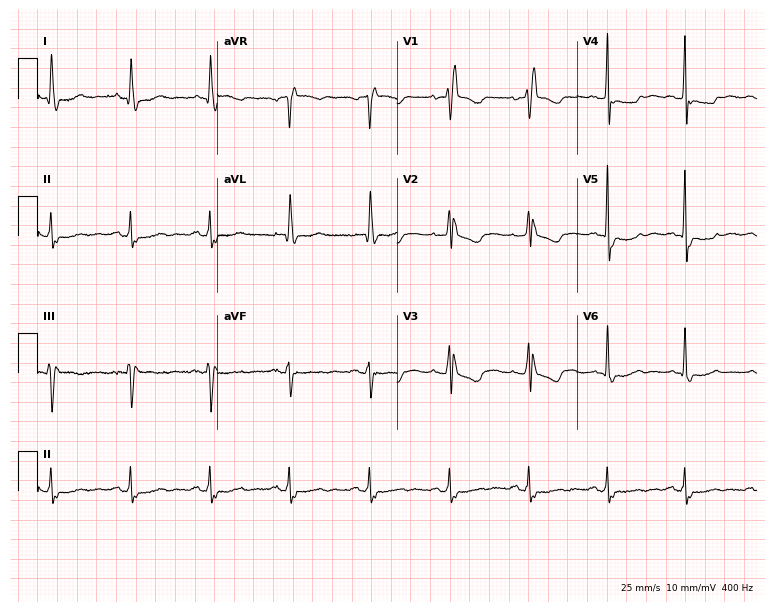
12-lead ECG (7.3-second recording at 400 Hz) from a 61-year-old female patient. Findings include right bundle branch block.